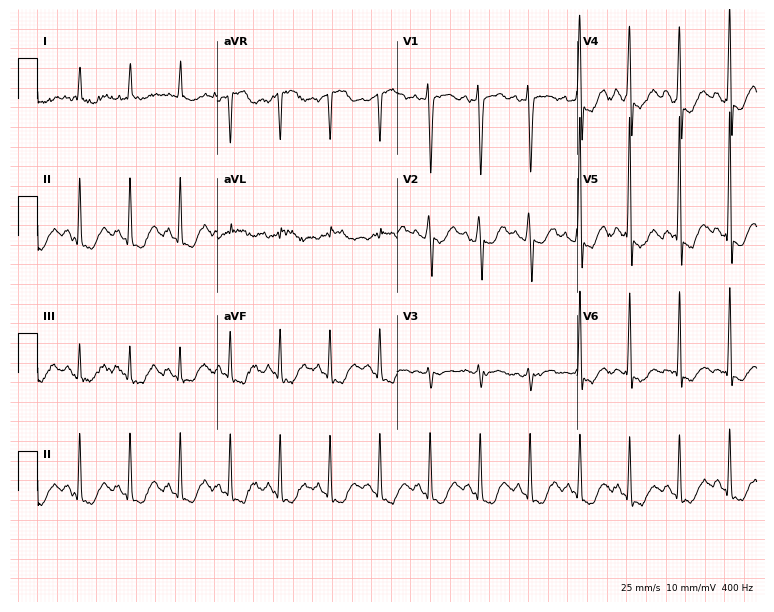
Resting 12-lead electrocardiogram. Patient: a 50-year-old male. The tracing shows sinus tachycardia (a sinus rate of 100 beats per minute or more).